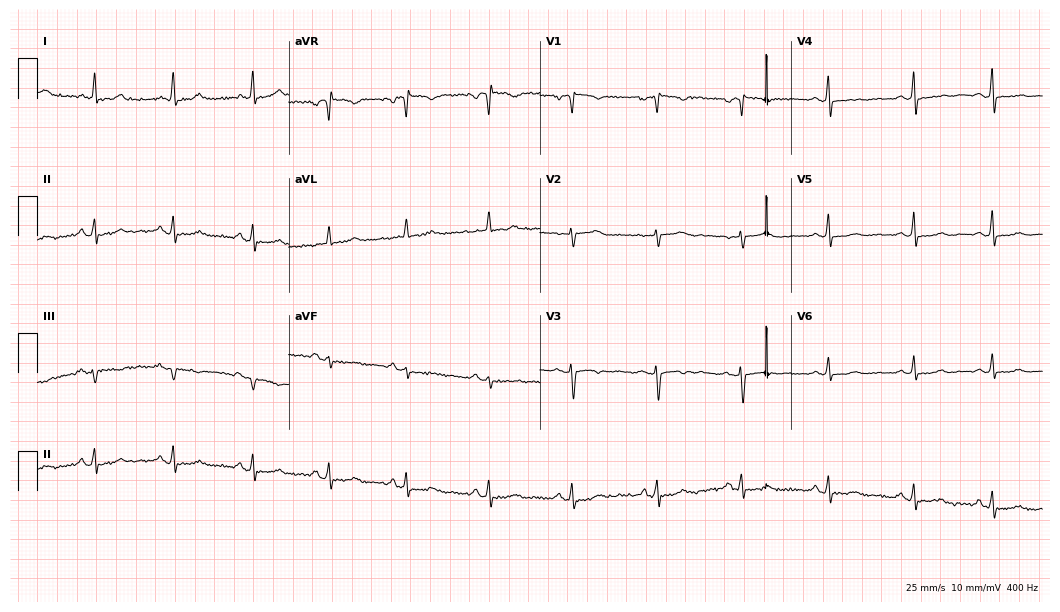
12-lead ECG from a female patient, 43 years old. Screened for six findings — first-degree AV block, right bundle branch block, left bundle branch block, sinus bradycardia, atrial fibrillation, sinus tachycardia — none is recorded.